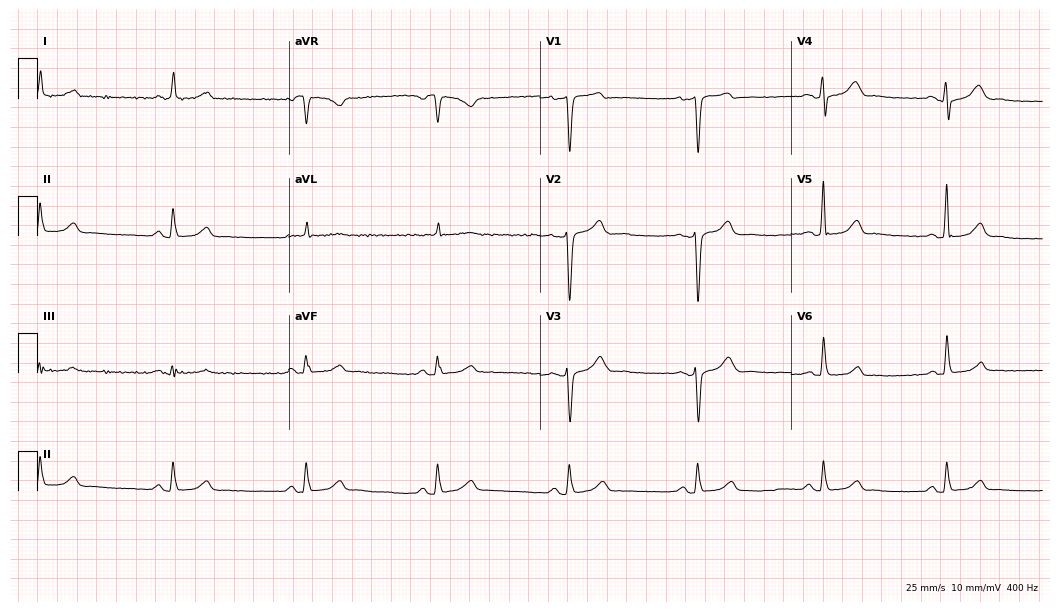
Electrocardiogram (10.2-second recording at 400 Hz), a 58-year-old female. Of the six screened findings (first-degree AV block, right bundle branch block (RBBB), left bundle branch block (LBBB), sinus bradycardia, atrial fibrillation (AF), sinus tachycardia), none is recorded.